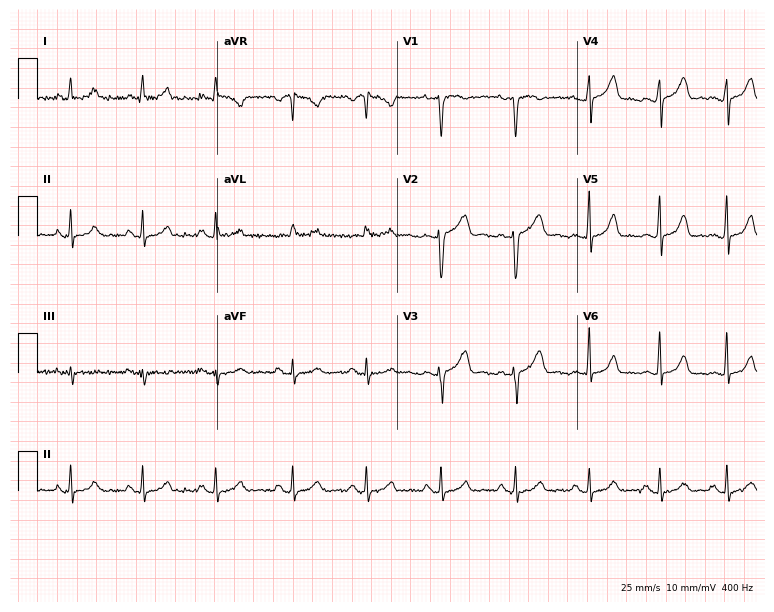
12-lead ECG from a woman, 27 years old (7.3-second recording at 400 Hz). Recorded interpretation: within normal limits.